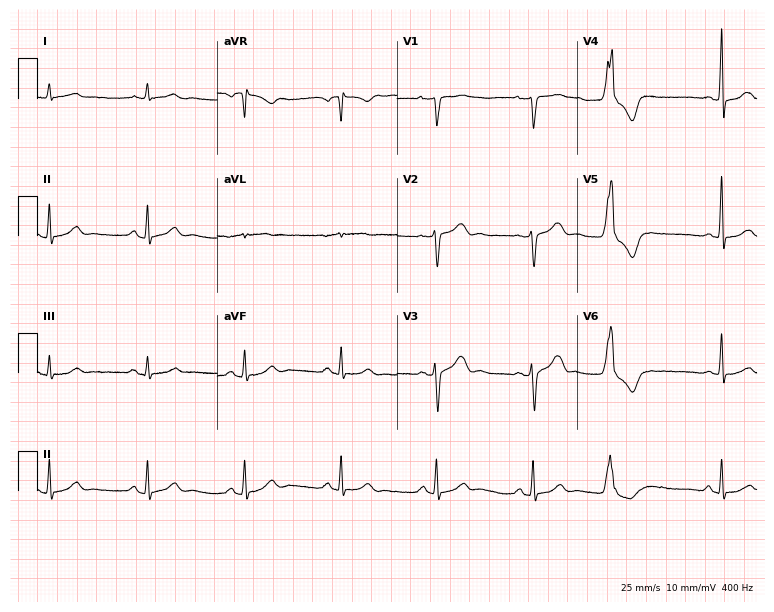
Resting 12-lead electrocardiogram (7.3-second recording at 400 Hz). Patient: a 50-year-old man. None of these six findings is recorded: first-degree AV block, right bundle branch block, left bundle branch block, sinus bradycardia, atrial fibrillation, sinus tachycardia. Findings outside these six are not listed.